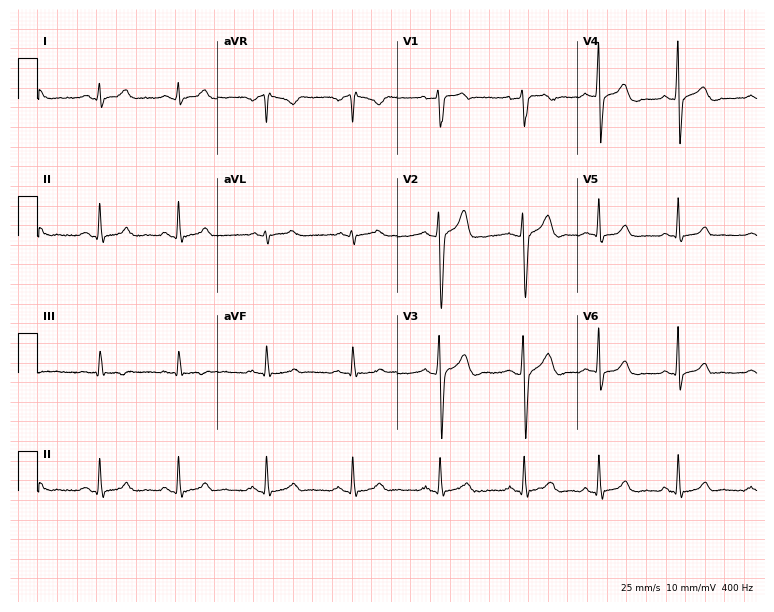
12-lead ECG (7.3-second recording at 400 Hz) from a man, 27 years old. Labelled as a normal ECG.